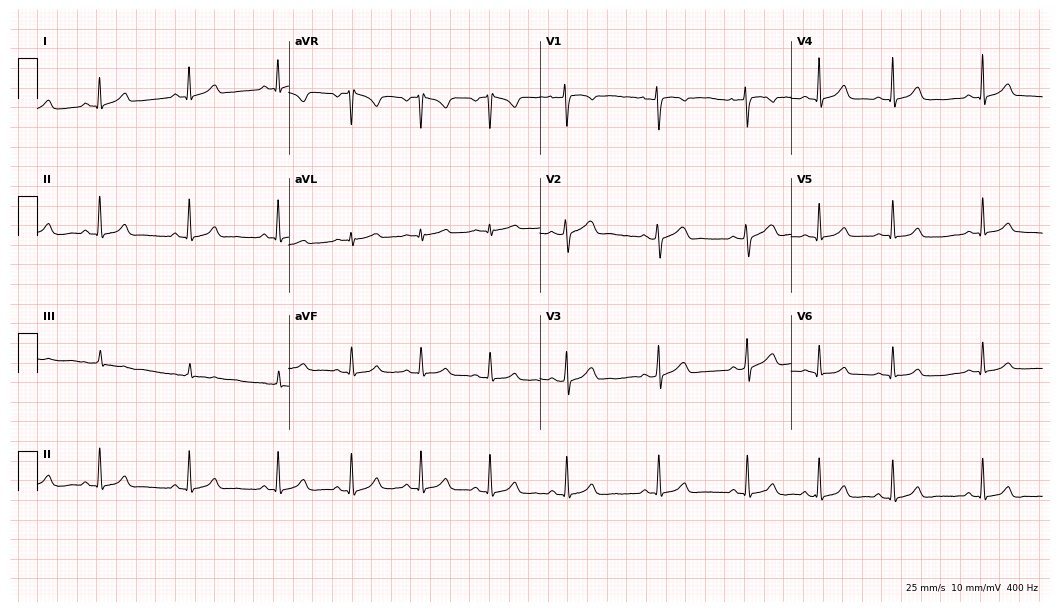
Resting 12-lead electrocardiogram (10.2-second recording at 400 Hz). Patient: a female, 22 years old. None of these six findings is recorded: first-degree AV block, right bundle branch block, left bundle branch block, sinus bradycardia, atrial fibrillation, sinus tachycardia.